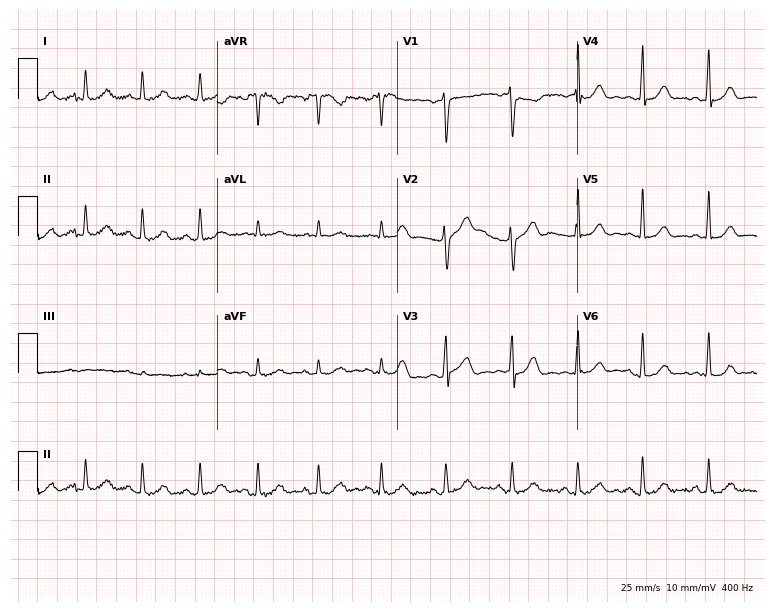
Standard 12-lead ECG recorded from a female, 48 years old (7.3-second recording at 400 Hz). Read as a normal ECG.